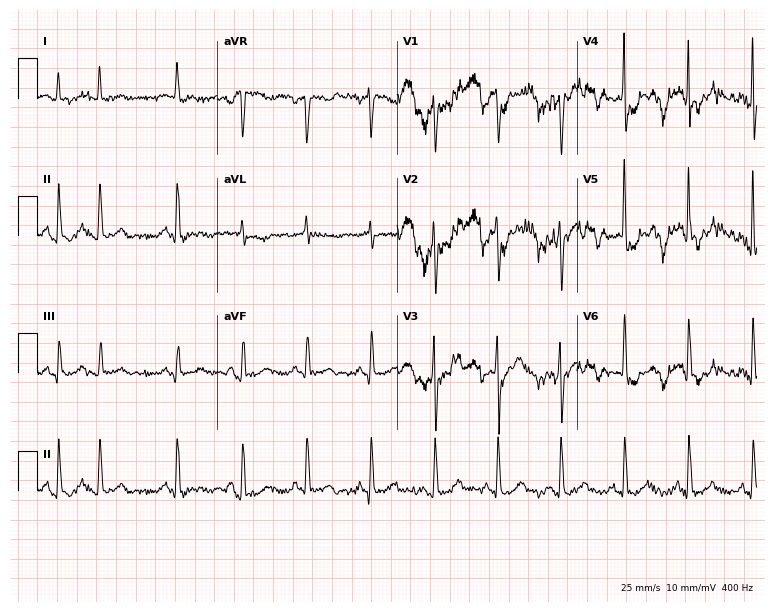
12-lead ECG from a male, 85 years old. Screened for six findings — first-degree AV block, right bundle branch block, left bundle branch block, sinus bradycardia, atrial fibrillation, sinus tachycardia — none is recorded. Findings outside these six are not listed.